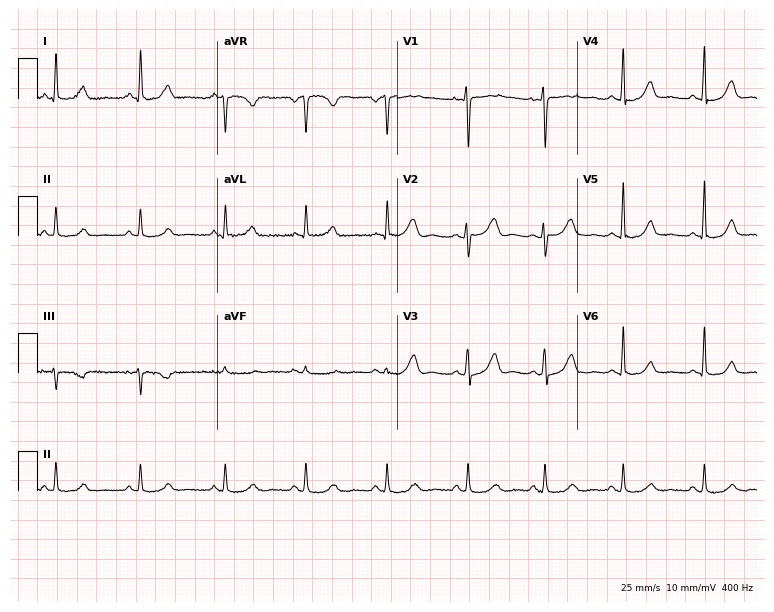
Resting 12-lead electrocardiogram (7.3-second recording at 400 Hz). Patient: a 39-year-old female. None of these six findings is recorded: first-degree AV block, right bundle branch block, left bundle branch block, sinus bradycardia, atrial fibrillation, sinus tachycardia. Findings outside these six are not listed.